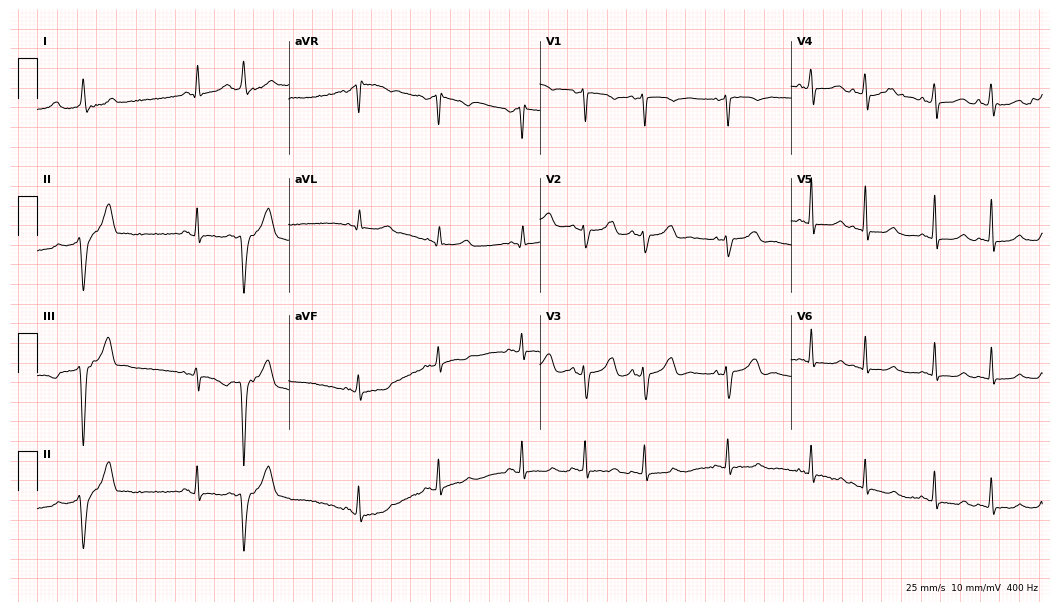
Standard 12-lead ECG recorded from a 64-year-old female (10.2-second recording at 400 Hz). None of these six findings is recorded: first-degree AV block, right bundle branch block, left bundle branch block, sinus bradycardia, atrial fibrillation, sinus tachycardia.